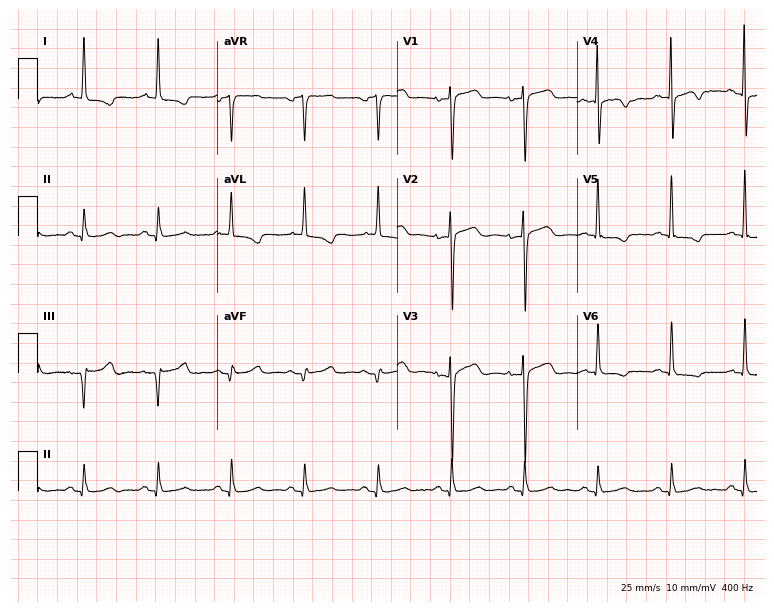
Electrocardiogram (7.3-second recording at 400 Hz), a woman, 69 years old. Of the six screened findings (first-degree AV block, right bundle branch block (RBBB), left bundle branch block (LBBB), sinus bradycardia, atrial fibrillation (AF), sinus tachycardia), none is recorded. Findings outside these six are not listed.